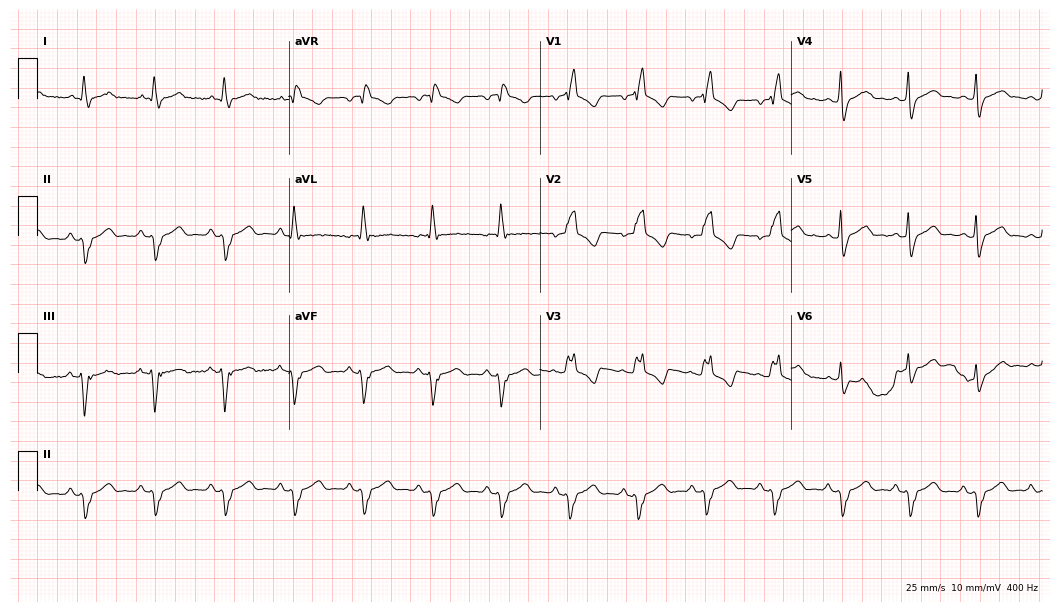
Electrocardiogram (10.2-second recording at 400 Hz), a man, 56 years old. Interpretation includes right bundle branch block.